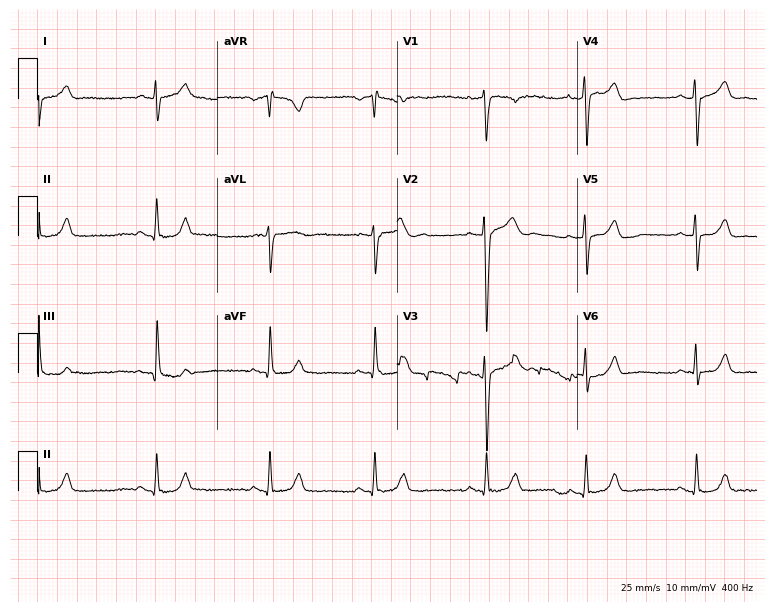
12-lead ECG from a 26-year-old man. Screened for six findings — first-degree AV block, right bundle branch block, left bundle branch block, sinus bradycardia, atrial fibrillation, sinus tachycardia — none is recorded. Findings outside these six are not listed.